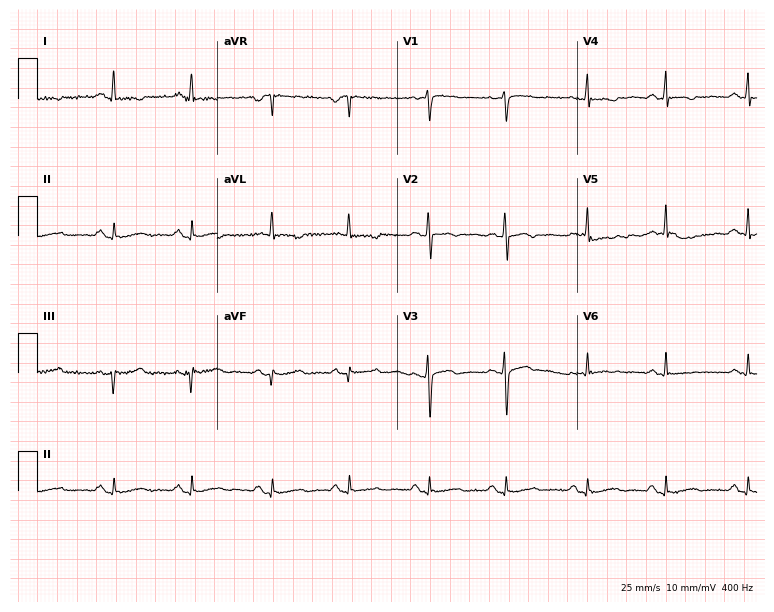
12-lead ECG from a female patient, 50 years old (7.3-second recording at 400 Hz). No first-degree AV block, right bundle branch block, left bundle branch block, sinus bradycardia, atrial fibrillation or sinus tachycardia recorded for this tracing.